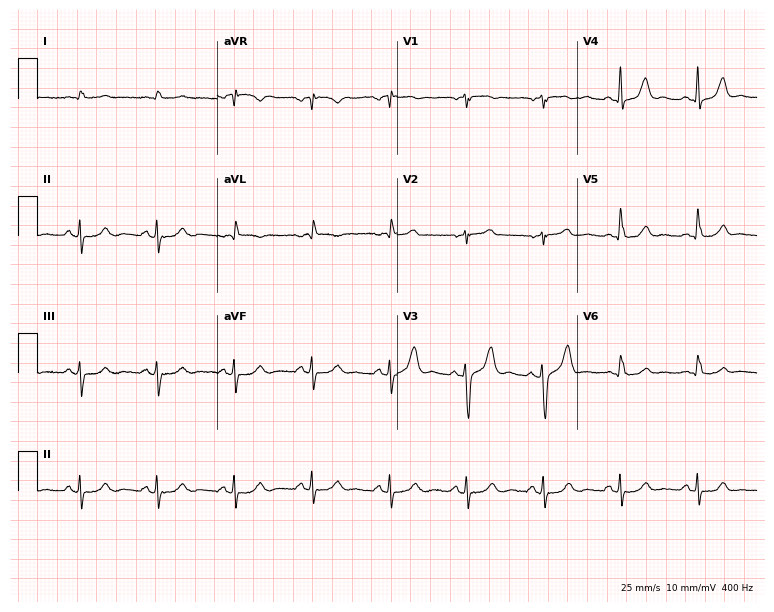
Resting 12-lead electrocardiogram (7.3-second recording at 400 Hz). Patient: a male, 70 years old. Read as a normal ECG.